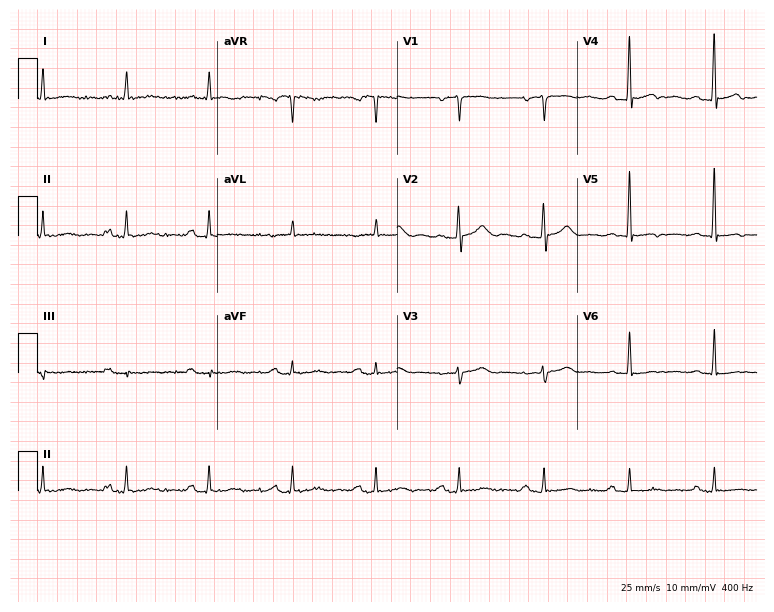
ECG (7.3-second recording at 400 Hz) — an 82-year-old male patient. Screened for six findings — first-degree AV block, right bundle branch block, left bundle branch block, sinus bradycardia, atrial fibrillation, sinus tachycardia — none is recorded. Findings outside these six are not listed.